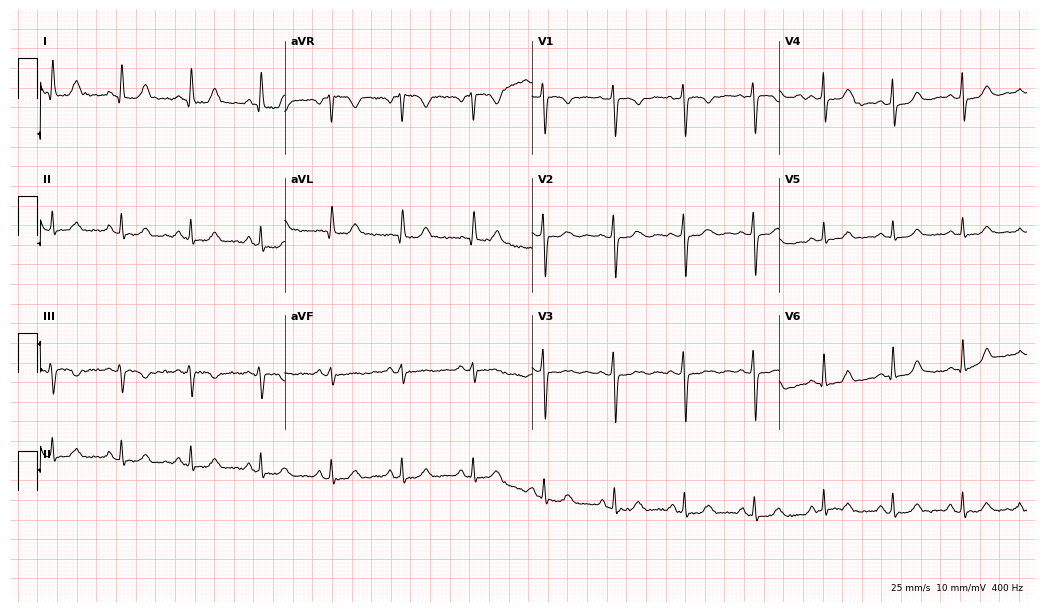
Resting 12-lead electrocardiogram. Patient: a female, 44 years old. None of these six findings is recorded: first-degree AV block, right bundle branch block (RBBB), left bundle branch block (LBBB), sinus bradycardia, atrial fibrillation (AF), sinus tachycardia.